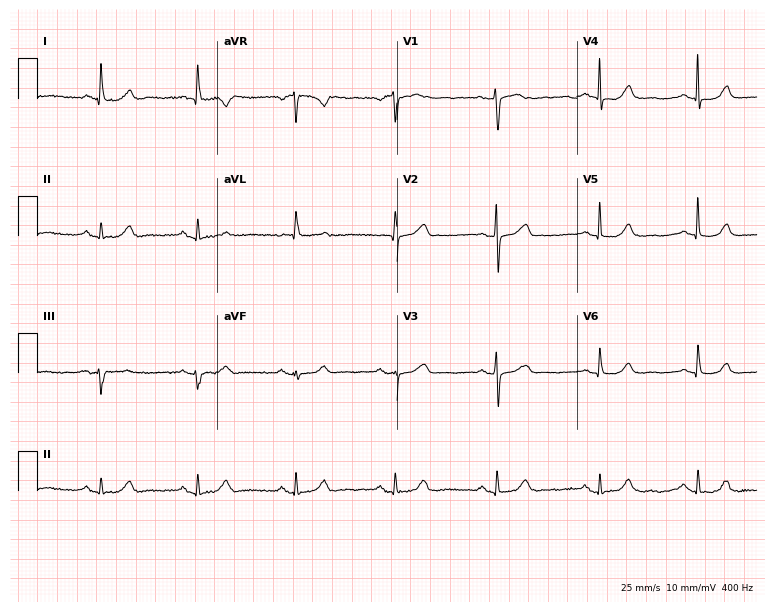
12-lead ECG (7.3-second recording at 400 Hz) from a female patient, 84 years old. Labelled as a normal ECG.